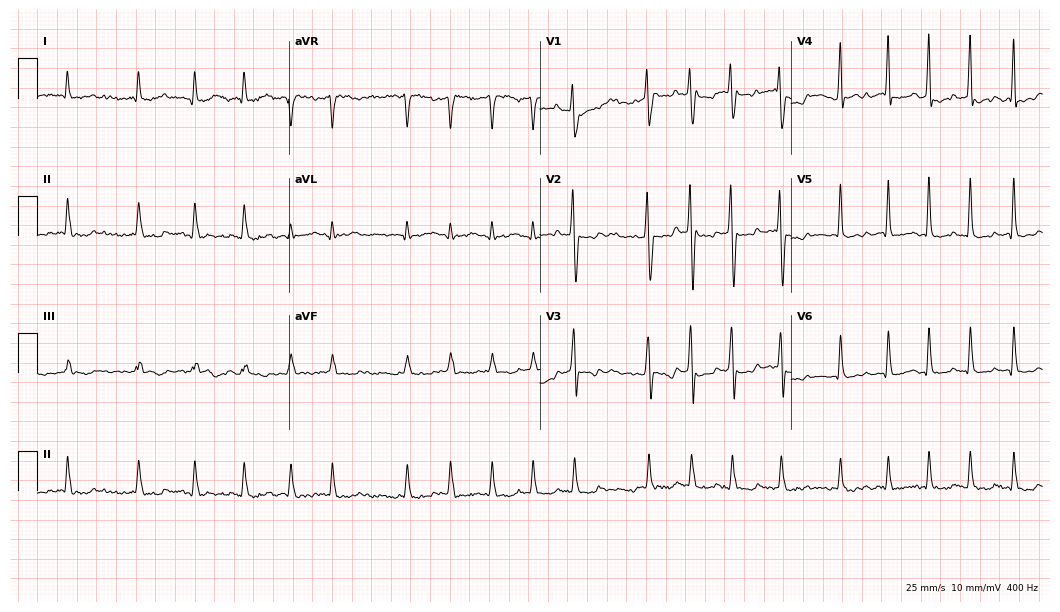
ECG (10.2-second recording at 400 Hz) — a woman, 64 years old. Findings include atrial fibrillation.